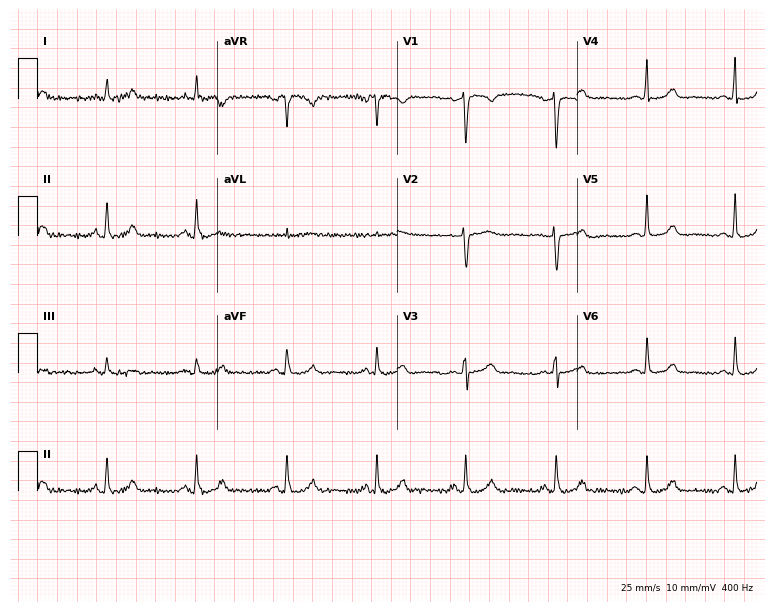
12-lead ECG from a 48-year-old woman. Labelled as a normal ECG.